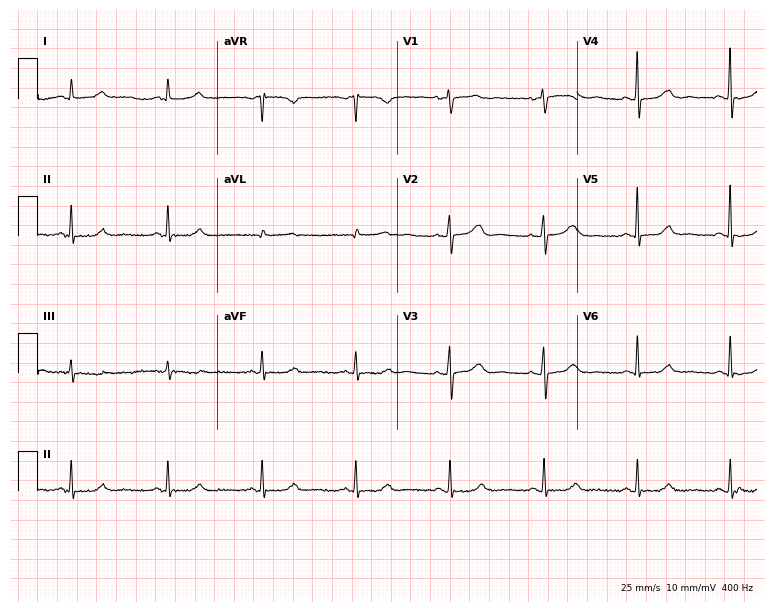
Standard 12-lead ECG recorded from a female, 63 years old (7.3-second recording at 400 Hz). Read as a normal ECG.